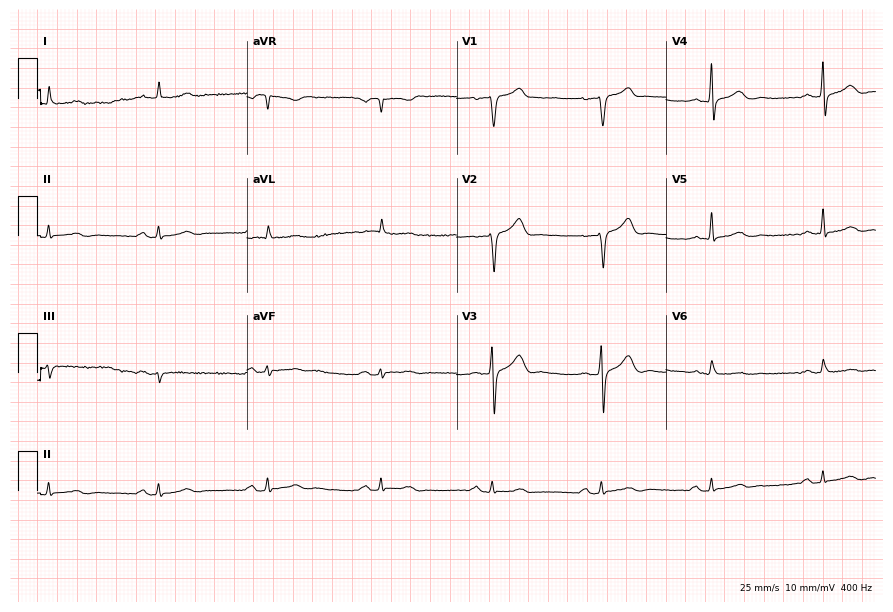
12-lead ECG (8.5-second recording at 400 Hz) from a male, 61 years old. Screened for six findings — first-degree AV block, right bundle branch block, left bundle branch block, sinus bradycardia, atrial fibrillation, sinus tachycardia — none is recorded.